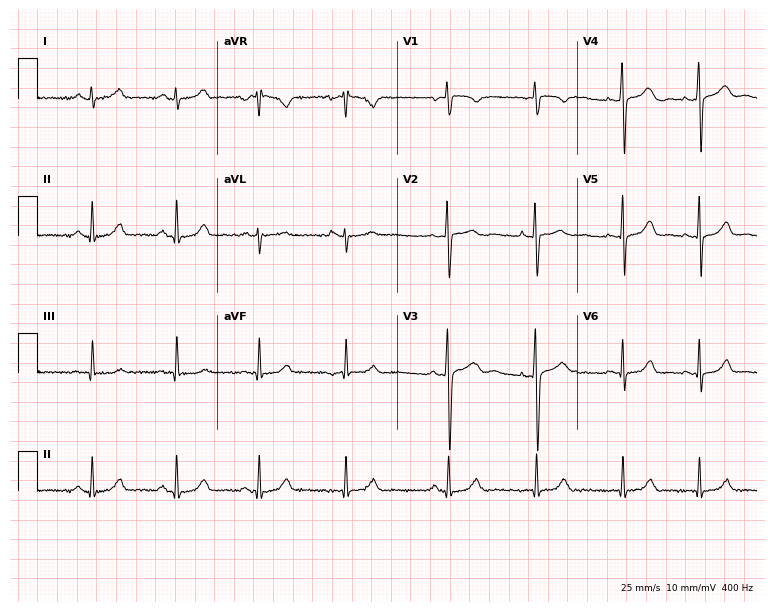
Resting 12-lead electrocardiogram. Patient: a 28-year-old woman. Read as a normal ECG.